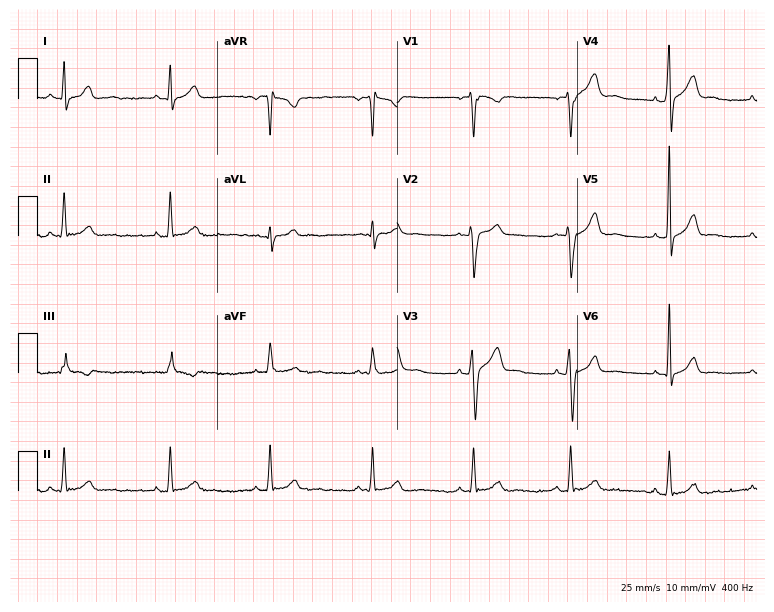
12-lead ECG from a 31-year-old male (7.3-second recording at 400 Hz). Recorded interpretation: within normal limits.